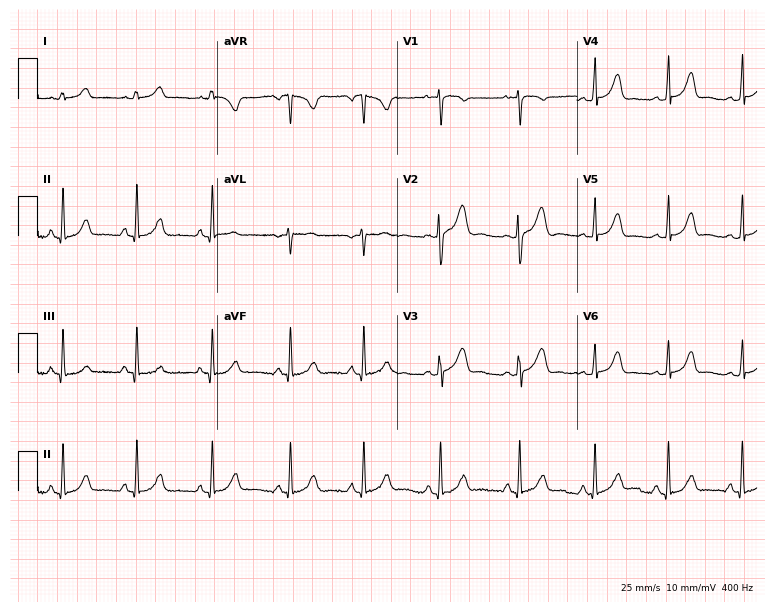
12-lead ECG (7.3-second recording at 400 Hz) from a female patient, 22 years old. Screened for six findings — first-degree AV block, right bundle branch block (RBBB), left bundle branch block (LBBB), sinus bradycardia, atrial fibrillation (AF), sinus tachycardia — none is recorded. Only these six findings were labelled.